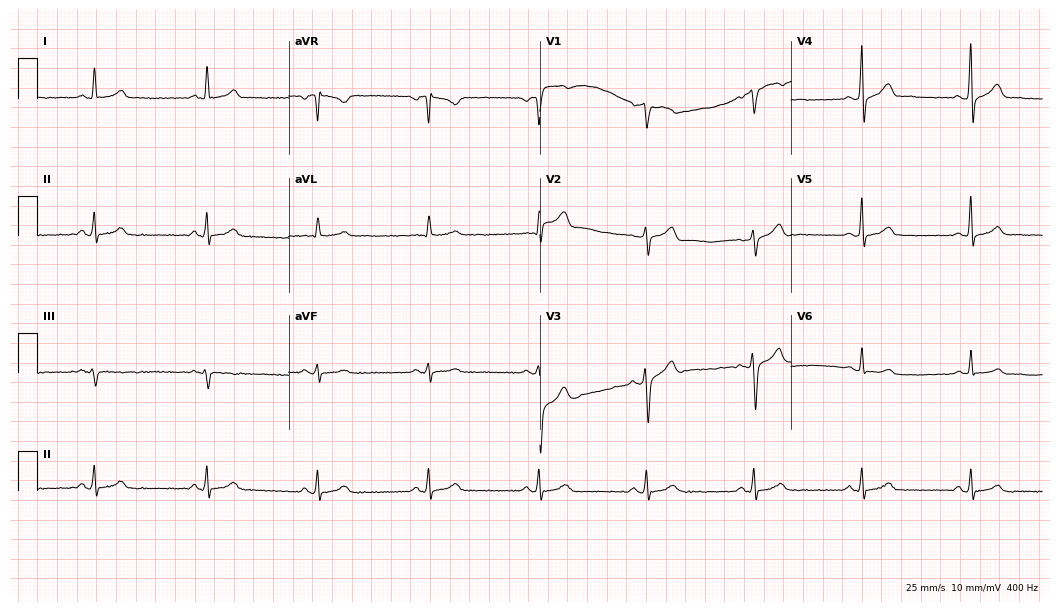
ECG (10.2-second recording at 400 Hz) — a 50-year-old man. Labelled as a normal ECG.